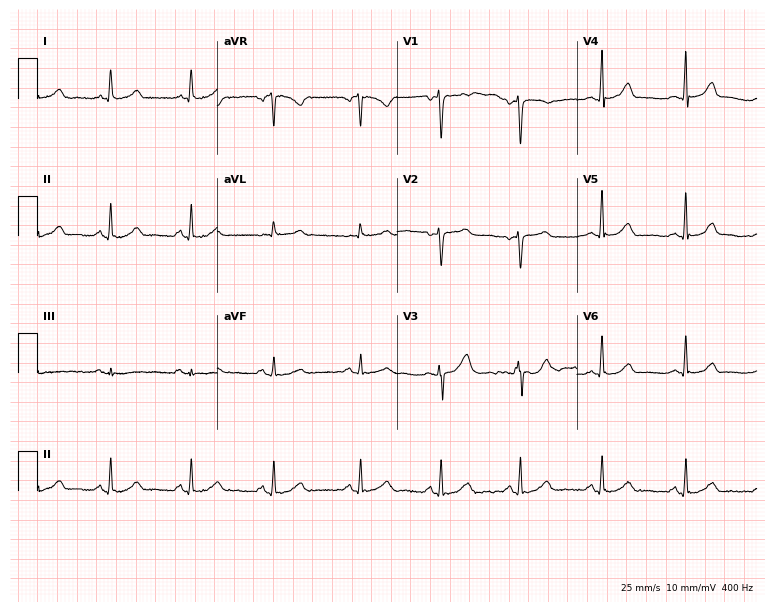
Resting 12-lead electrocardiogram. Patient: a 40-year-old female. Read as a normal ECG.